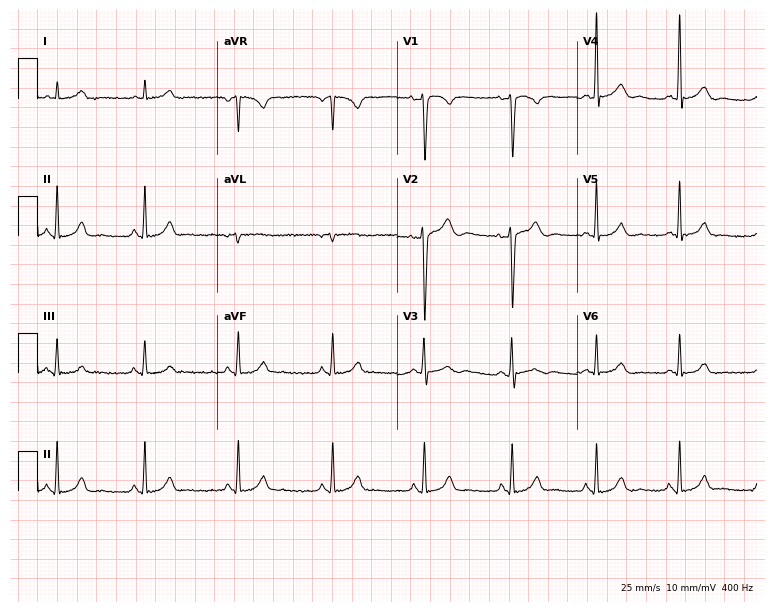
Resting 12-lead electrocardiogram (7.3-second recording at 400 Hz). Patient: a 26-year-old male. Read as a normal ECG.